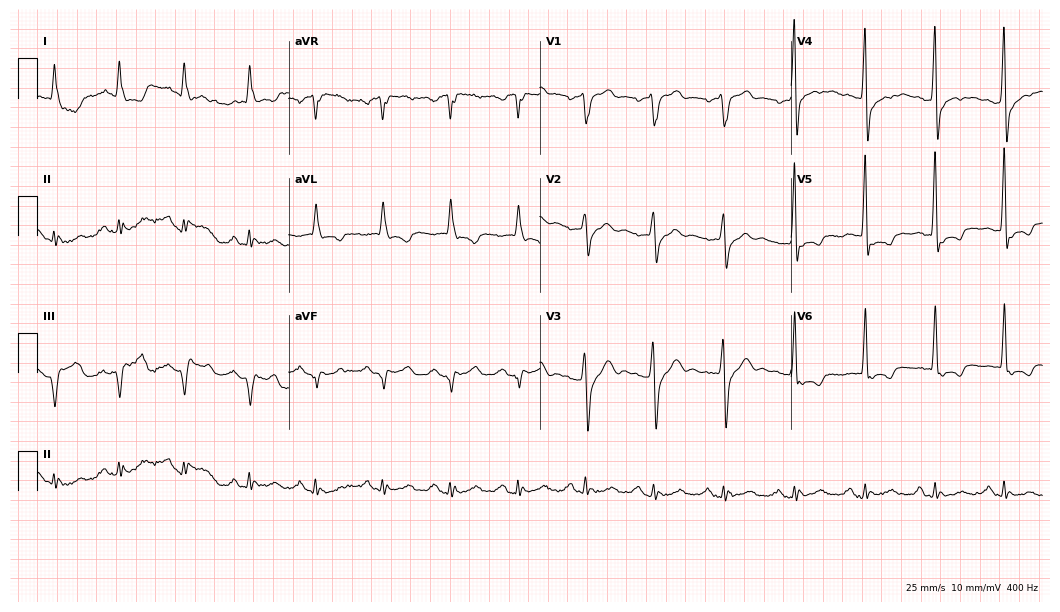
Resting 12-lead electrocardiogram (10.2-second recording at 400 Hz). Patient: a male, 74 years old. None of these six findings is recorded: first-degree AV block, right bundle branch block, left bundle branch block, sinus bradycardia, atrial fibrillation, sinus tachycardia.